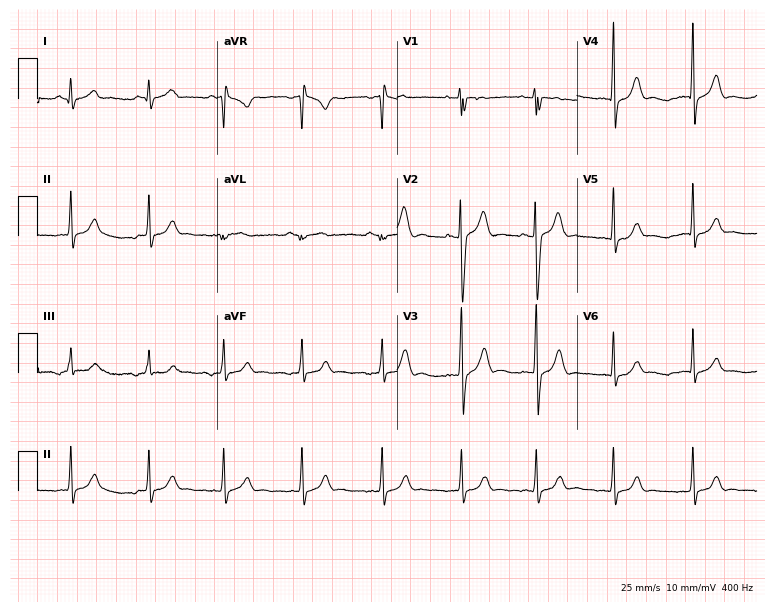
Standard 12-lead ECG recorded from a man, 25 years old (7.3-second recording at 400 Hz). Read as a normal ECG.